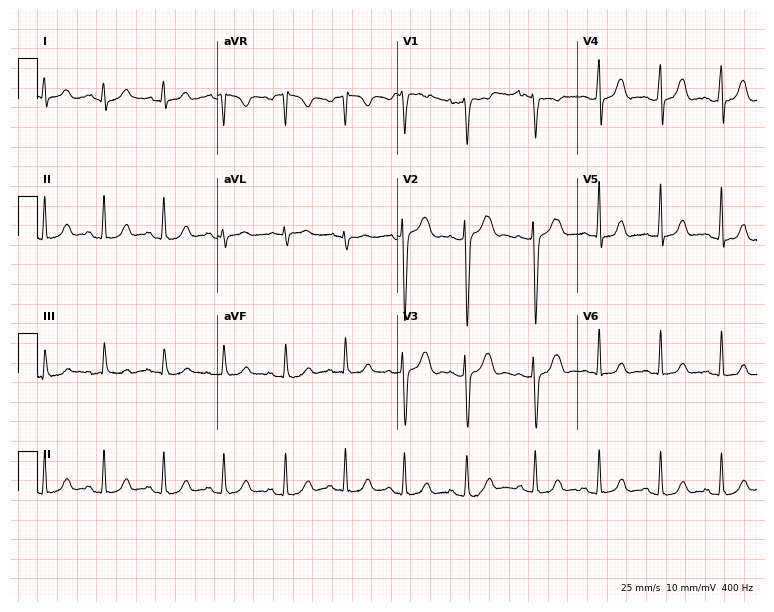
12-lead ECG from a female, 19 years old (7.3-second recording at 400 Hz). Recorded interpretation: within normal limits.